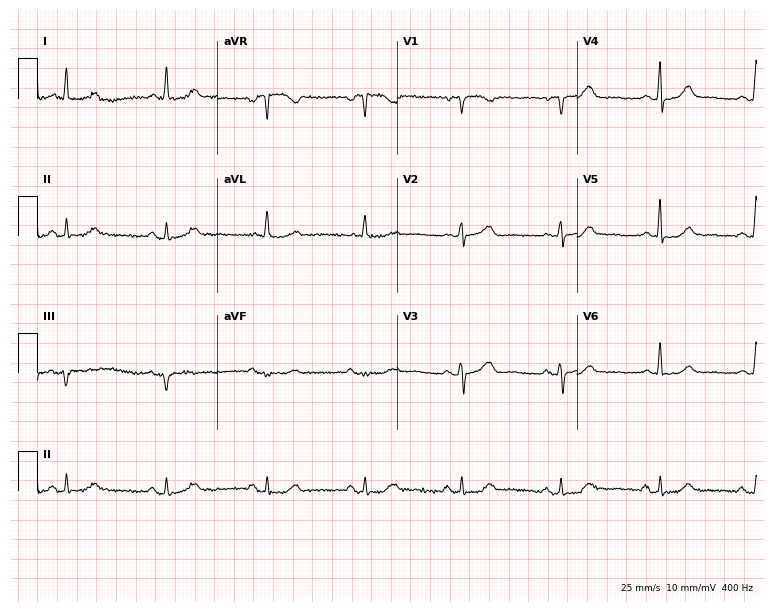
Resting 12-lead electrocardiogram. Patient: a 58-year-old woman. Read as a normal ECG.